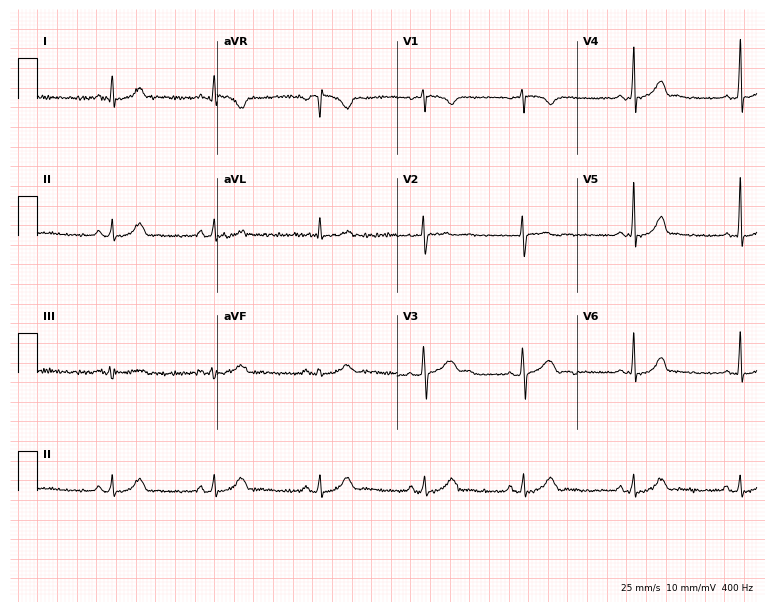
Resting 12-lead electrocardiogram (7.3-second recording at 400 Hz). Patient: a female, 23 years old. None of these six findings is recorded: first-degree AV block, right bundle branch block, left bundle branch block, sinus bradycardia, atrial fibrillation, sinus tachycardia.